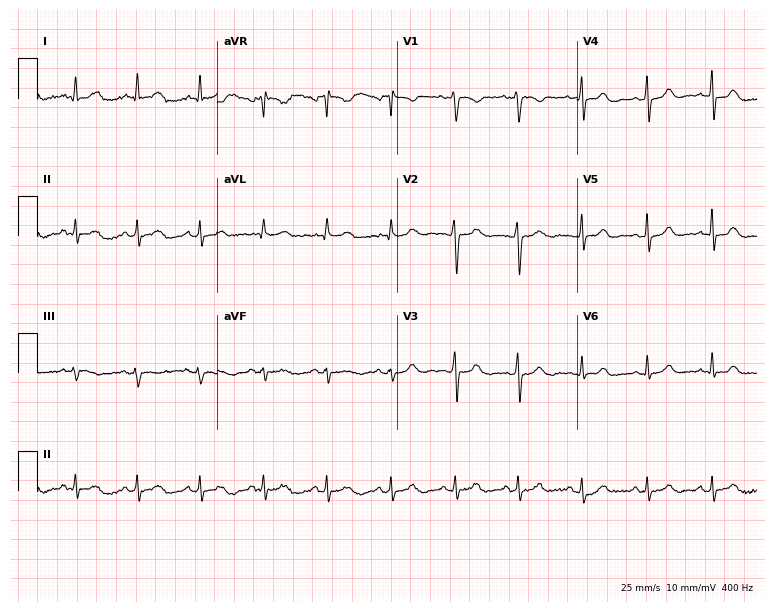
Standard 12-lead ECG recorded from a woman, 30 years old. None of these six findings is recorded: first-degree AV block, right bundle branch block, left bundle branch block, sinus bradycardia, atrial fibrillation, sinus tachycardia.